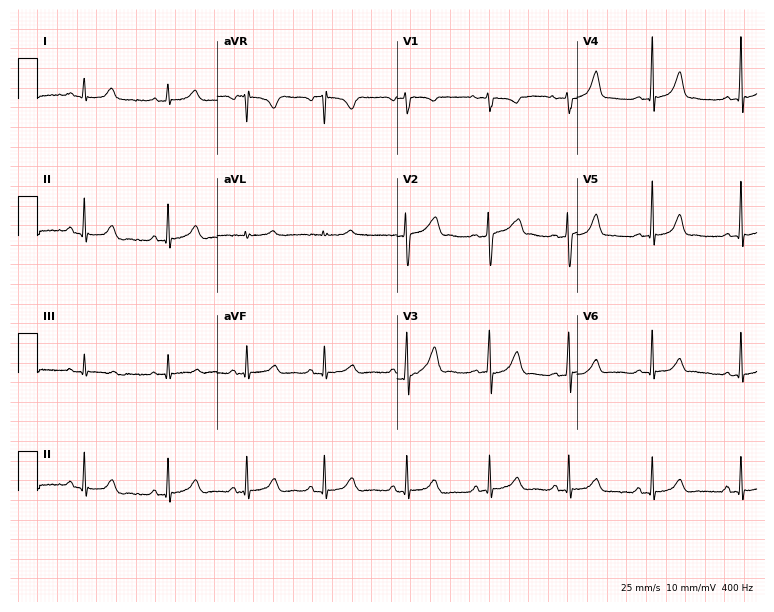
Standard 12-lead ECG recorded from a 37-year-old female. Read as a normal ECG.